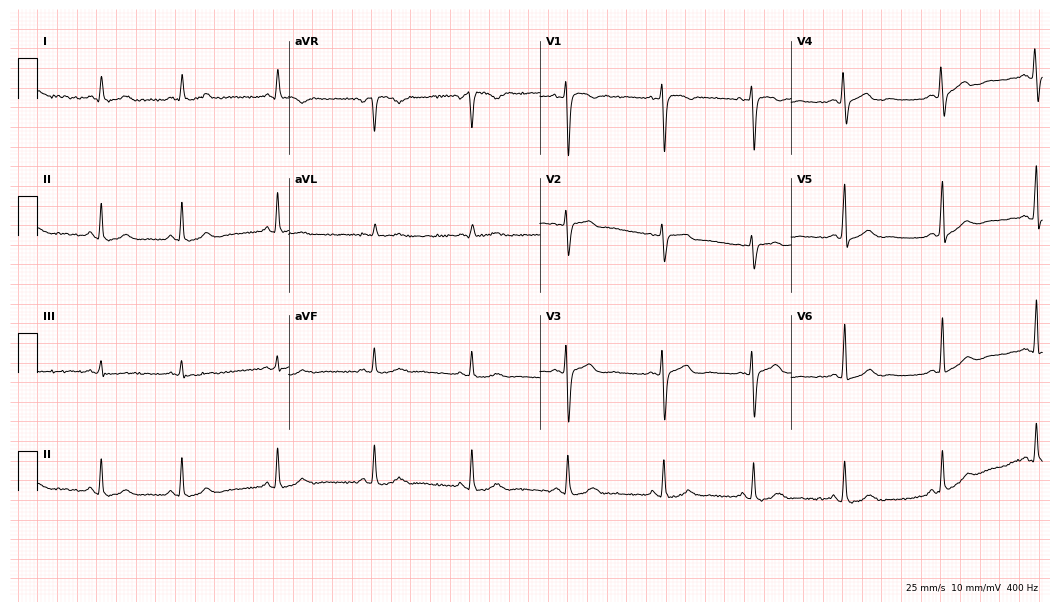
12-lead ECG (10.2-second recording at 400 Hz) from a 35-year-old woman. Screened for six findings — first-degree AV block, right bundle branch block, left bundle branch block, sinus bradycardia, atrial fibrillation, sinus tachycardia — none is recorded.